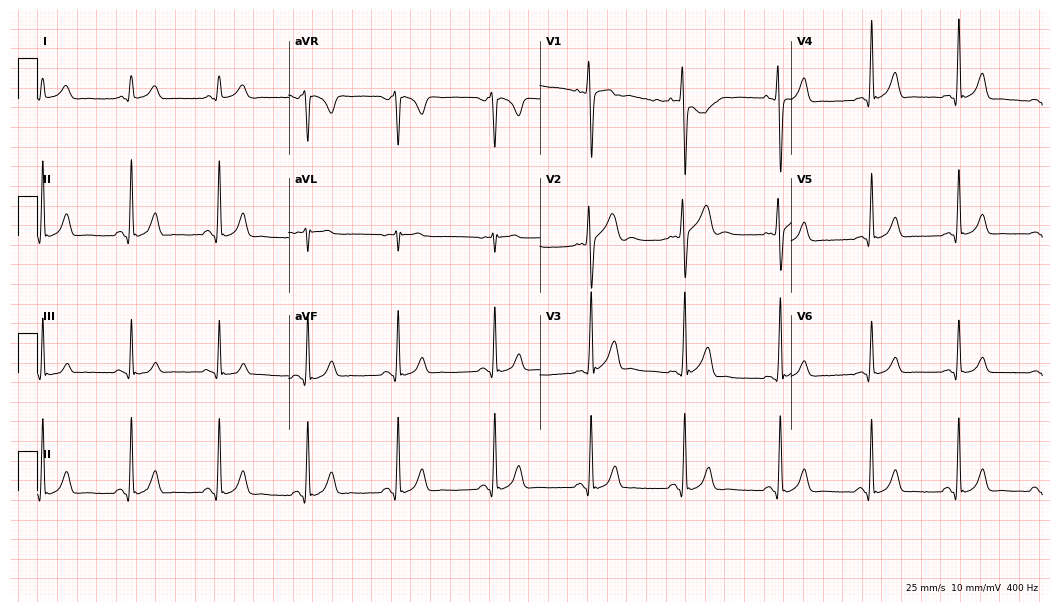
Standard 12-lead ECG recorded from a 20-year-old male patient (10.2-second recording at 400 Hz). None of these six findings is recorded: first-degree AV block, right bundle branch block (RBBB), left bundle branch block (LBBB), sinus bradycardia, atrial fibrillation (AF), sinus tachycardia. Findings outside these six are not listed.